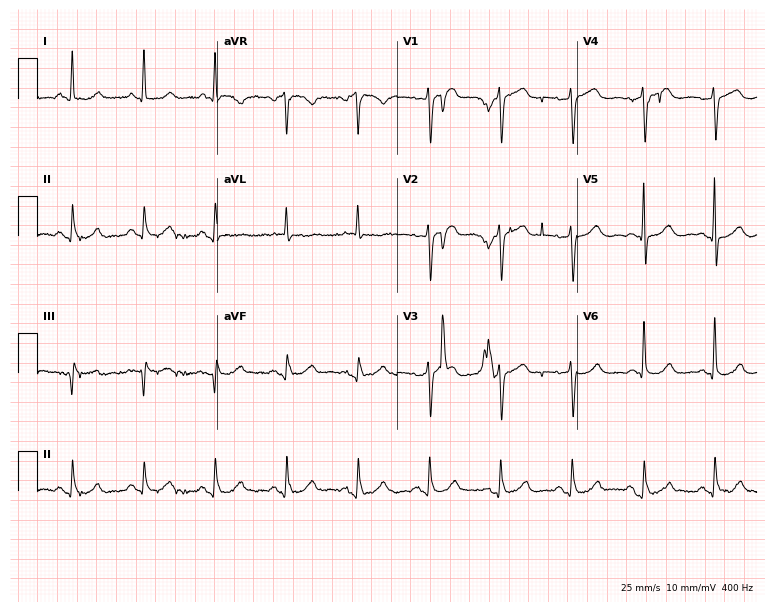
ECG (7.3-second recording at 400 Hz) — a female patient, 65 years old. Screened for six findings — first-degree AV block, right bundle branch block (RBBB), left bundle branch block (LBBB), sinus bradycardia, atrial fibrillation (AF), sinus tachycardia — none is recorded.